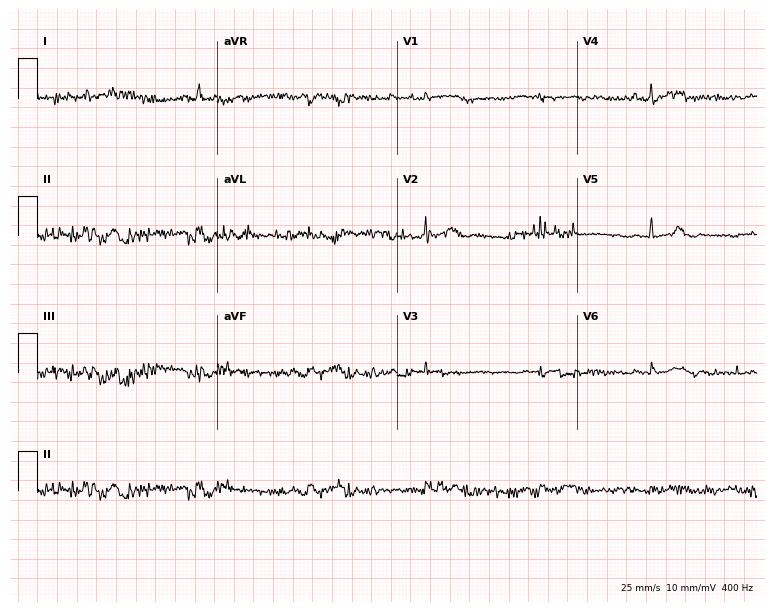
Resting 12-lead electrocardiogram. Patient: a 65-year-old female. None of these six findings is recorded: first-degree AV block, right bundle branch block, left bundle branch block, sinus bradycardia, atrial fibrillation, sinus tachycardia. Other findings, if any, are not listed.